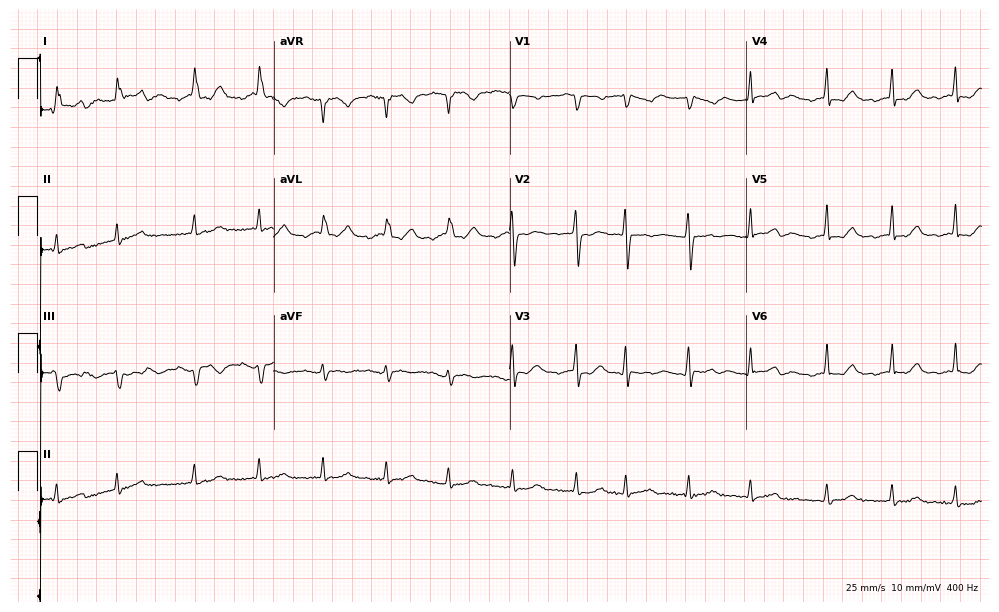
Electrocardiogram (9.6-second recording at 400 Hz), a 76-year-old woman. Of the six screened findings (first-degree AV block, right bundle branch block, left bundle branch block, sinus bradycardia, atrial fibrillation, sinus tachycardia), none is recorded.